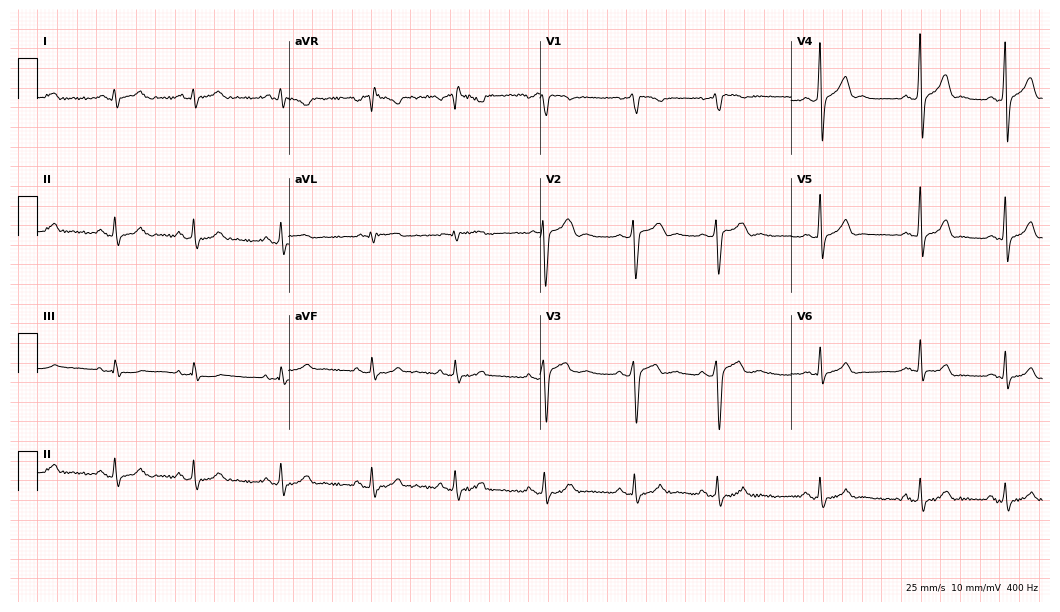
Standard 12-lead ECG recorded from a 19-year-old man (10.2-second recording at 400 Hz). None of these six findings is recorded: first-degree AV block, right bundle branch block, left bundle branch block, sinus bradycardia, atrial fibrillation, sinus tachycardia. Only these six findings were labelled.